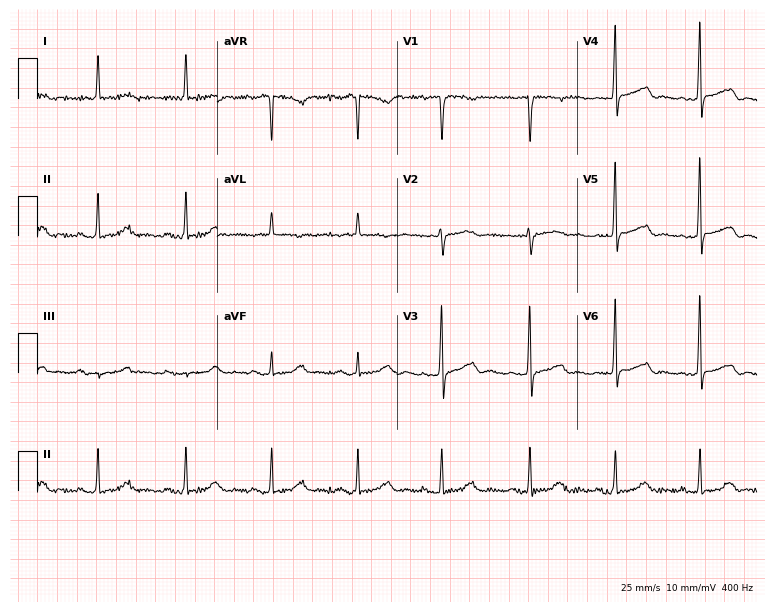
ECG (7.3-second recording at 400 Hz) — a female, 72 years old. Screened for six findings — first-degree AV block, right bundle branch block, left bundle branch block, sinus bradycardia, atrial fibrillation, sinus tachycardia — none is recorded. Only these six findings were labelled.